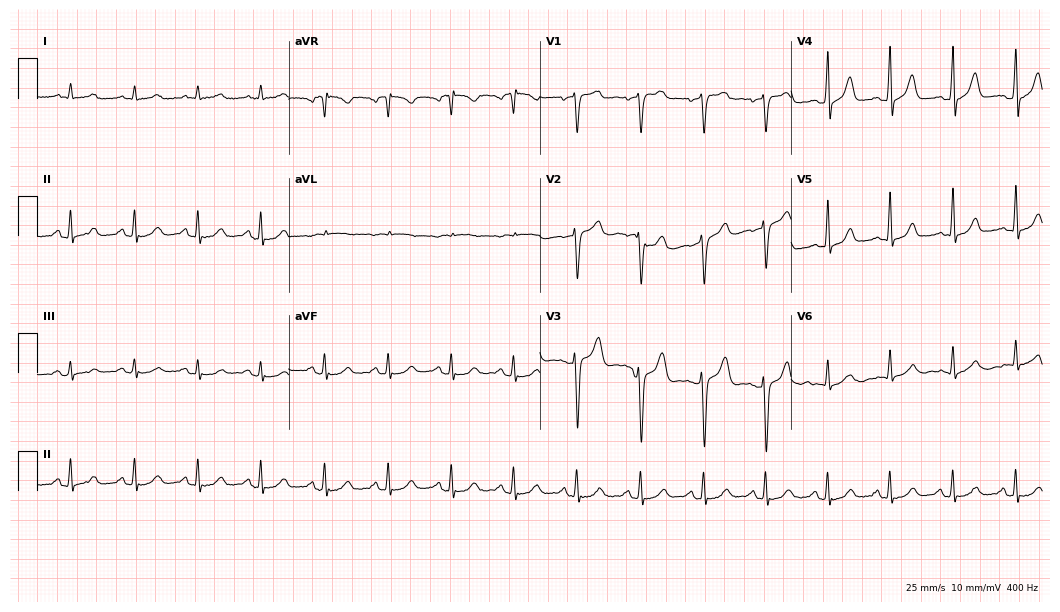
Resting 12-lead electrocardiogram. Patient: a 45-year-old male. Read as a normal ECG.